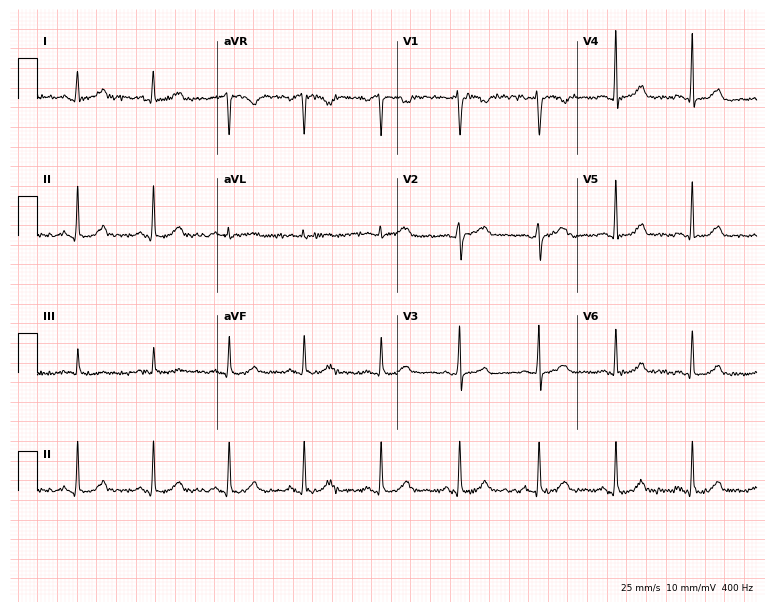
12-lead ECG (7.3-second recording at 400 Hz) from a woman, 37 years old. Labelled as a normal ECG.